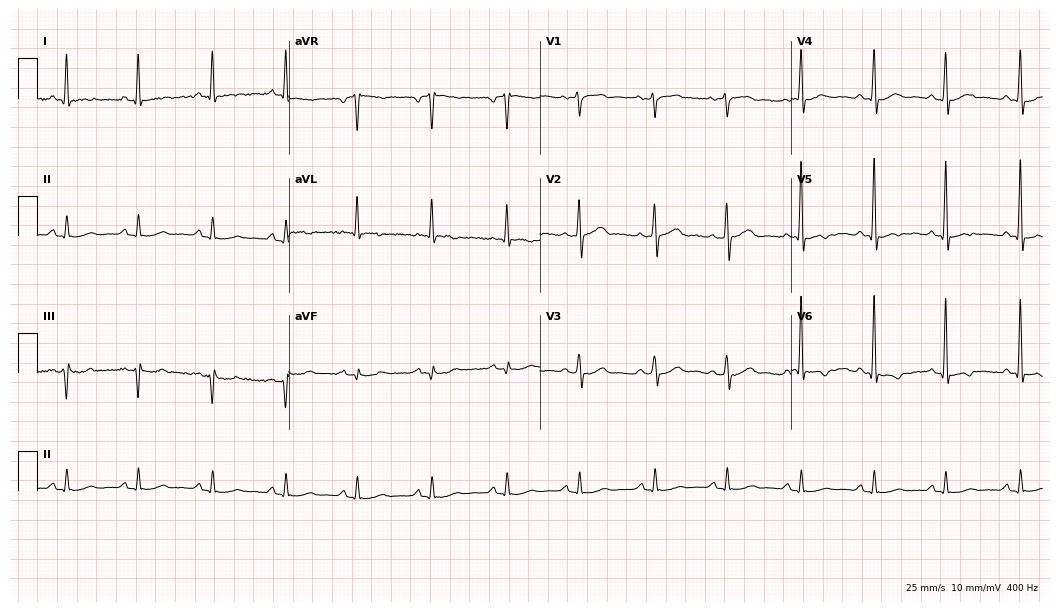
Electrocardiogram (10.2-second recording at 400 Hz), a male, 79 years old. Of the six screened findings (first-degree AV block, right bundle branch block (RBBB), left bundle branch block (LBBB), sinus bradycardia, atrial fibrillation (AF), sinus tachycardia), none is recorded.